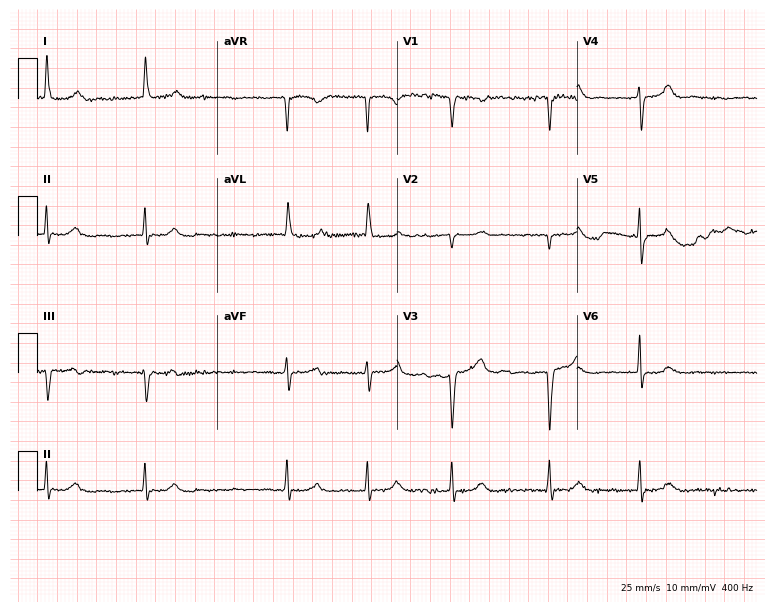
12-lead ECG from a woman, 79 years old. Findings include atrial fibrillation.